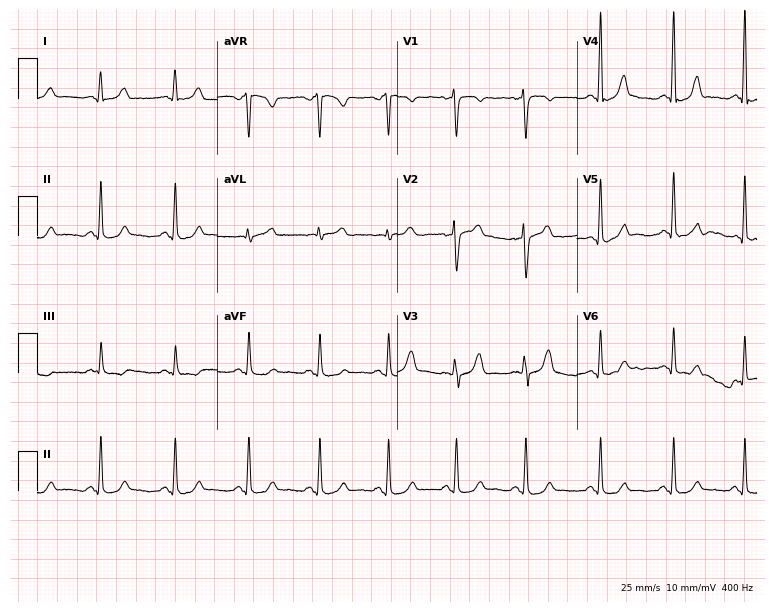
ECG — a 35-year-old female patient. Screened for six findings — first-degree AV block, right bundle branch block, left bundle branch block, sinus bradycardia, atrial fibrillation, sinus tachycardia — none is recorded.